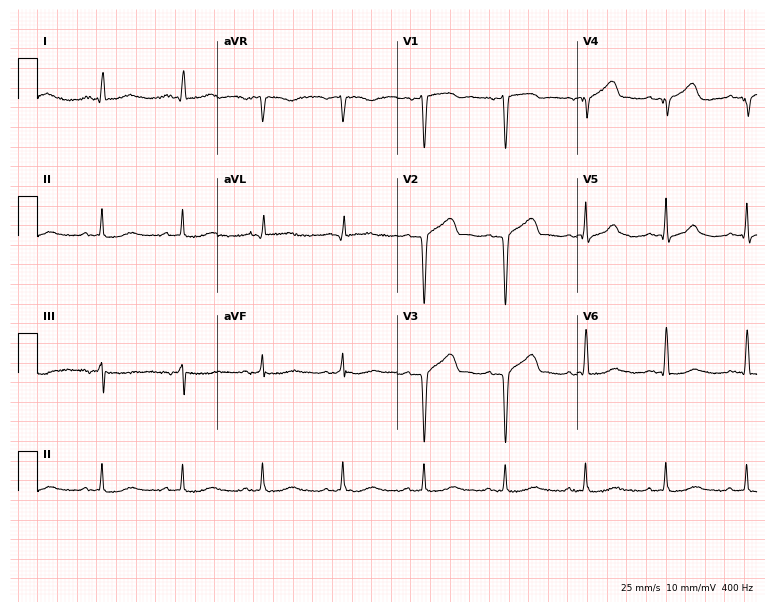
Standard 12-lead ECG recorded from a 78-year-old female (7.3-second recording at 400 Hz). None of these six findings is recorded: first-degree AV block, right bundle branch block, left bundle branch block, sinus bradycardia, atrial fibrillation, sinus tachycardia. Only these six findings were labelled.